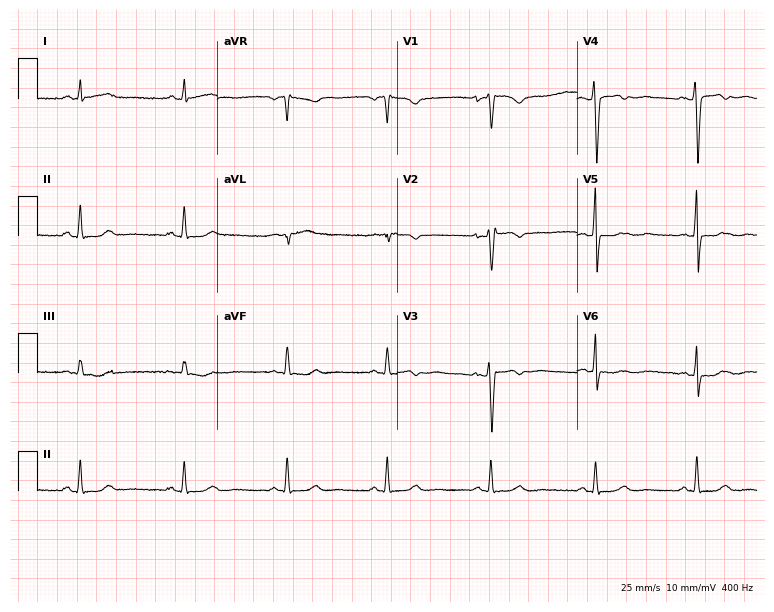
Standard 12-lead ECG recorded from a female, 42 years old (7.3-second recording at 400 Hz). None of these six findings is recorded: first-degree AV block, right bundle branch block, left bundle branch block, sinus bradycardia, atrial fibrillation, sinus tachycardia. Only these six findings were labelled.